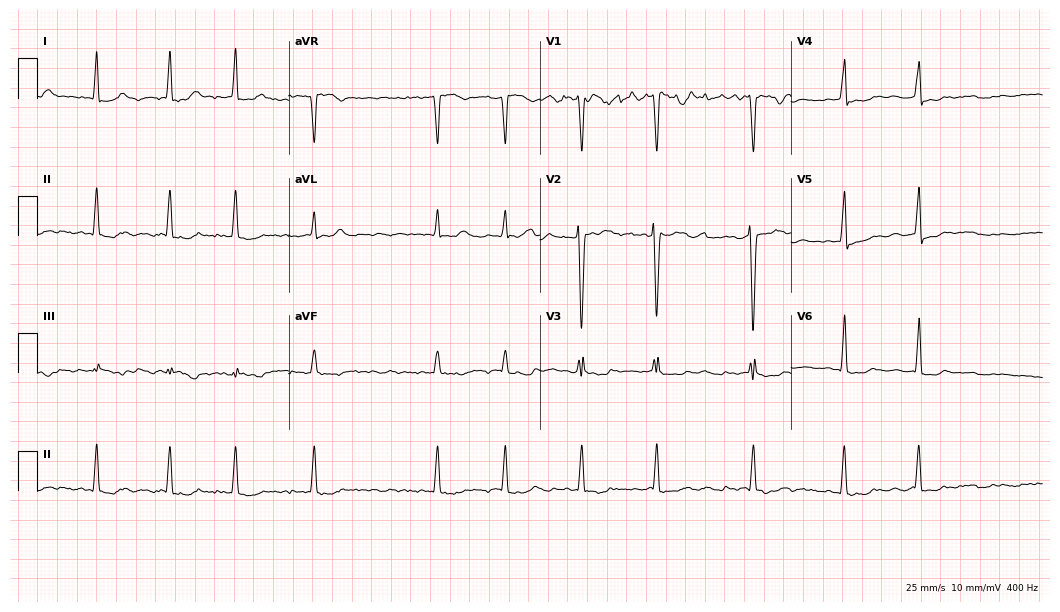
12-lead ECG from a 36-year-old female patient. No first-degree AV block, right bundle branch block, left bundle branch block, sinus bradycardia, atrial fibrillation or sinus tachycardia recorded for this tracing. Other findings, if any, are not listed.